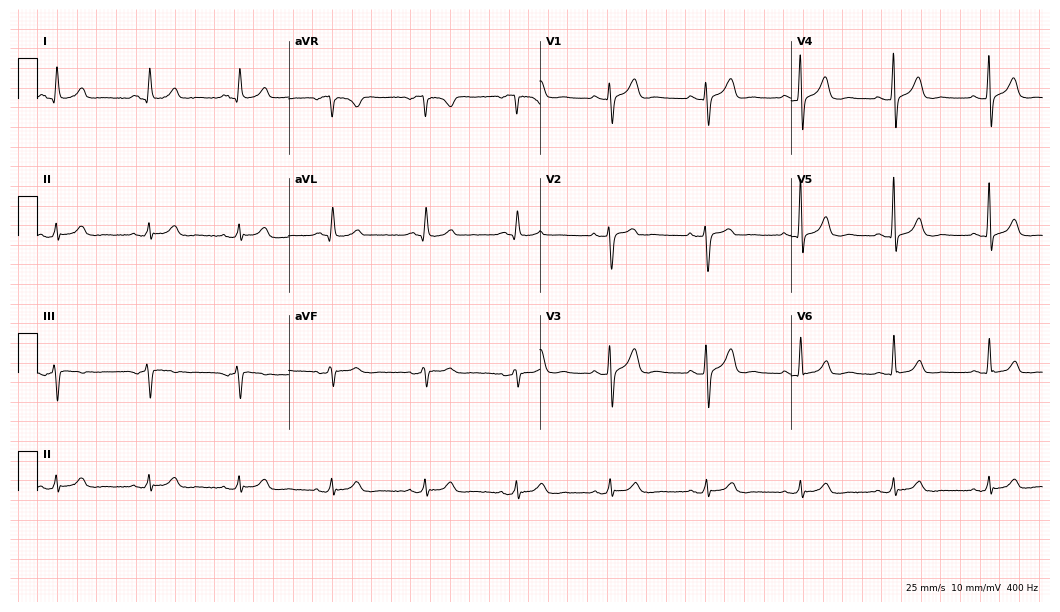
Resting 12-lead electrocardiogram (10.2-second recording at 400 Hz). Patient: a woman, 51 years old. None of these six findings is recorded: first-degree AV block, right bundle branch block, left bundle branch block, sinus bradycardia, atrial fibrillation, sinus tachycardia. Only these six findings were labelled.